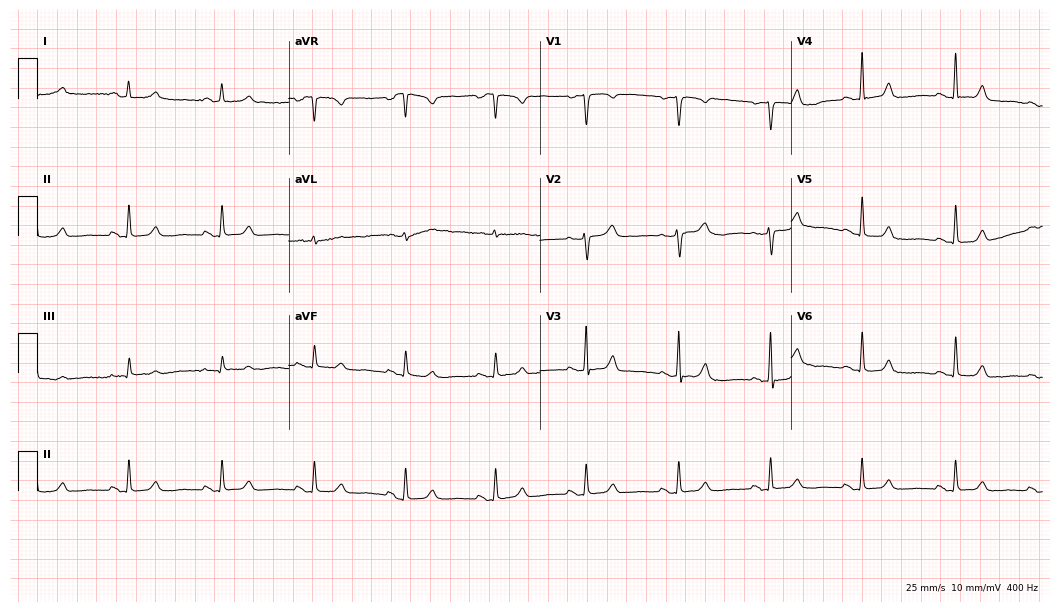
Resting 12-lead electrocardiogram. Patient: a 48-year-old female. Read as a normal ECG.